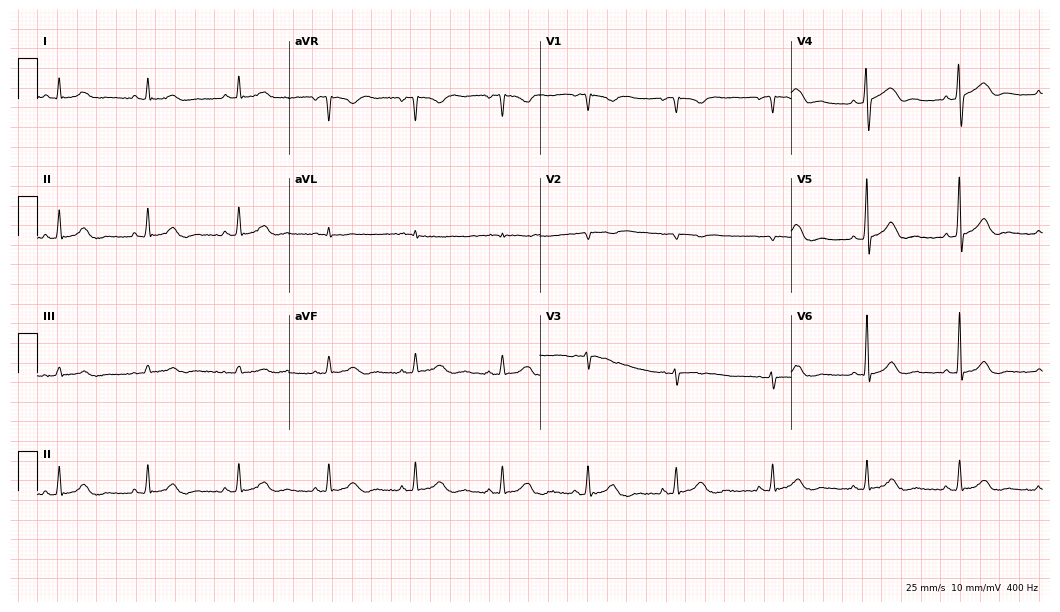
ECG — a man, 64 years old. Labelled as a normal ECG.